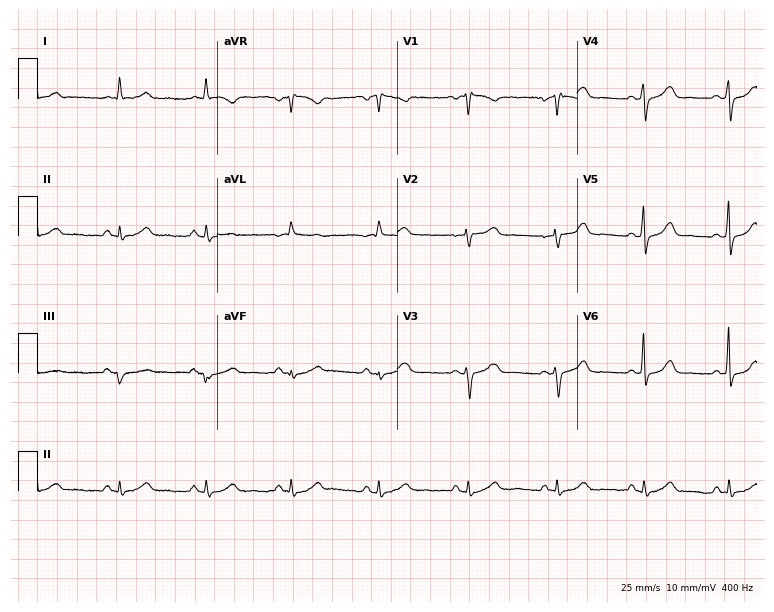
Standard 12-lead ECG recorded from a female, 57 years old (7.3-second recording at 400 Hz). None of these six findings is recorded: first-degree AV block, right bundle branch block (RBBB), left bundle branch block (LBBB), sinus bradycardia, atrial fibrillation (AF), sinus tachycardia. Findings outside these six are not listed.